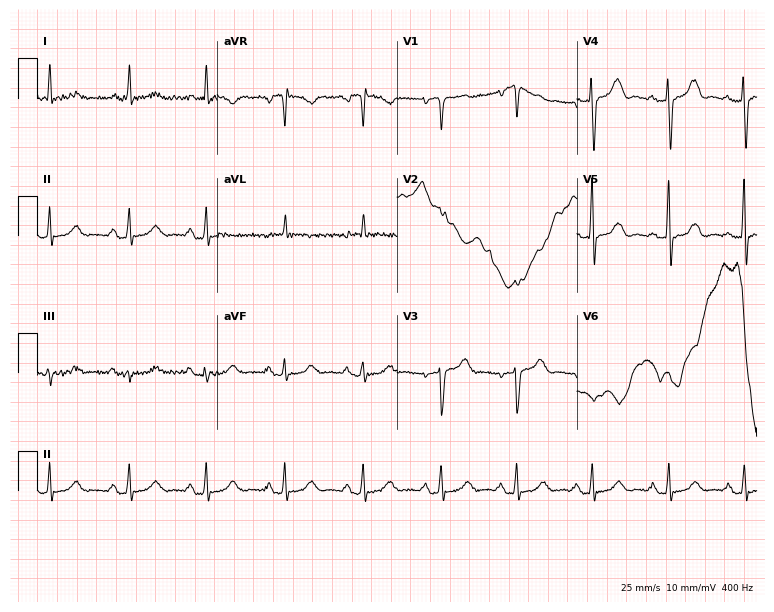
ECG (7.3-second recording at 400 Hz) — a 65-year-old man. Labelled as a normal ECG.